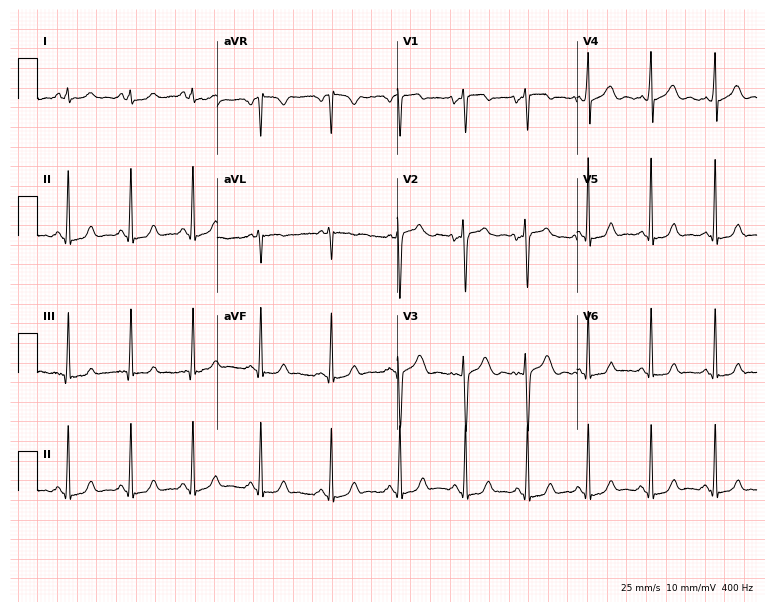
12-lead ECG from a 27-year-old female patient. No first-degree AV block, right bundle branch block (RBBB), left bundle branch block (LBBB), sinus bradycardia, atrial fibrillation (AF) or sinus tachycardia recorded for this tracing. Other findings, if any, are not listed.